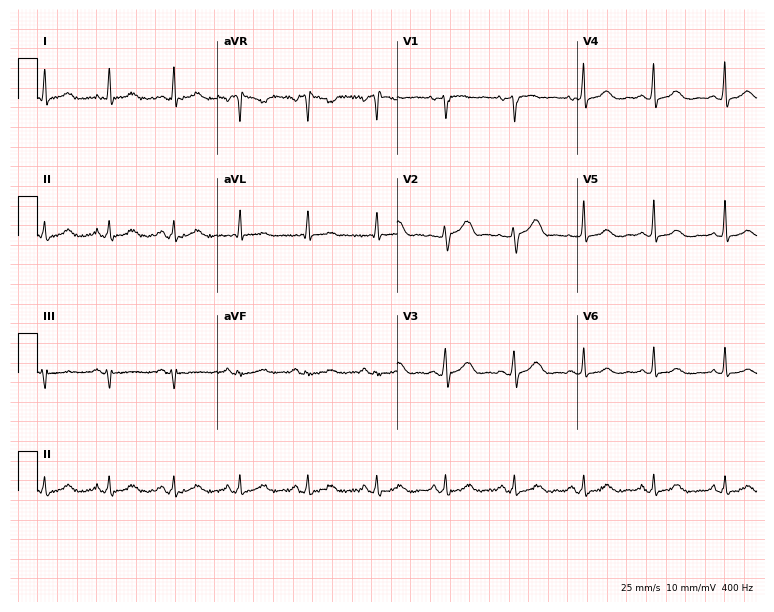
Resting 12-lead electrocardiogram. Patient: a 55-year-old woman. None of these six findings is recorded: first-degree AV block, right bundle branch block (RBBB), left bundle branch block (LBBB), sinus bradycardia, atrial fibrillation (AF), sinus tachycardia.